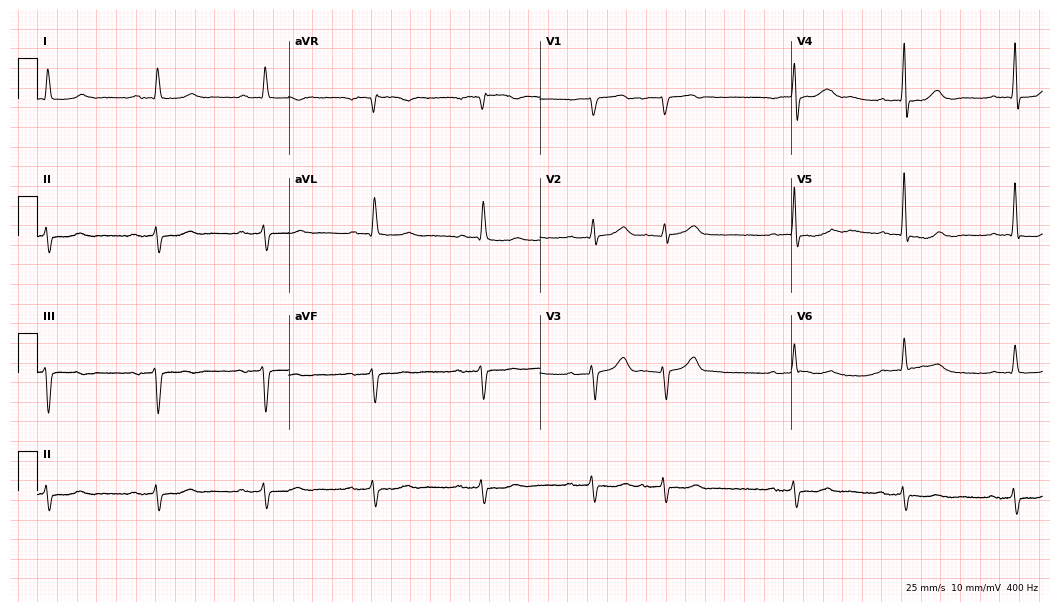
ECG — a male, 85 years old. Screened for six findings — first-degree AV block, right bundle branch block, left bundle branch block, sinus bradycardia, atrial fibrillation, sinus tachycardia — none is recorded.